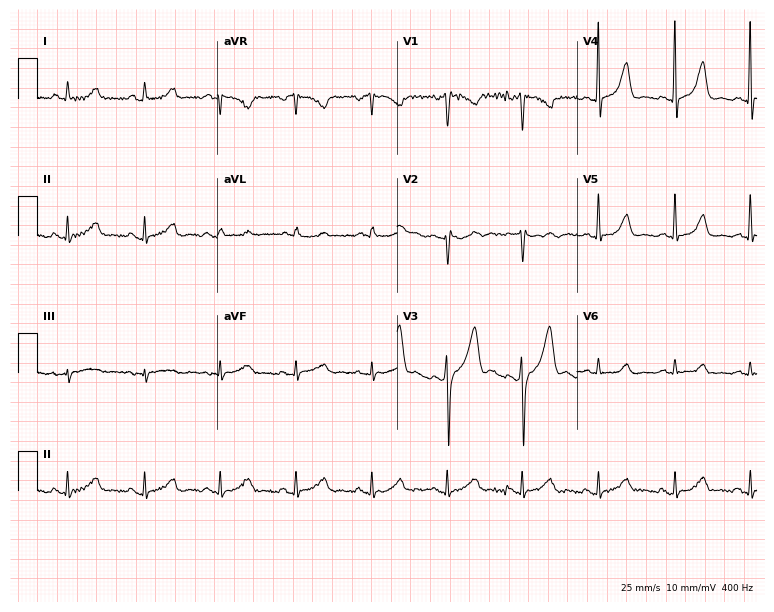
12-lead ECG (7.3-second recording at 400 Hz) from a 44-year-old woman. Screened for six findings — first-degree AV block, right bundle branch block (RBBB), left bundle branch block (LBBB), sinus bradycardia, atrial fibrillation (AF), sinus tachycardia — none is recorded. Findings outside these six are not listed.